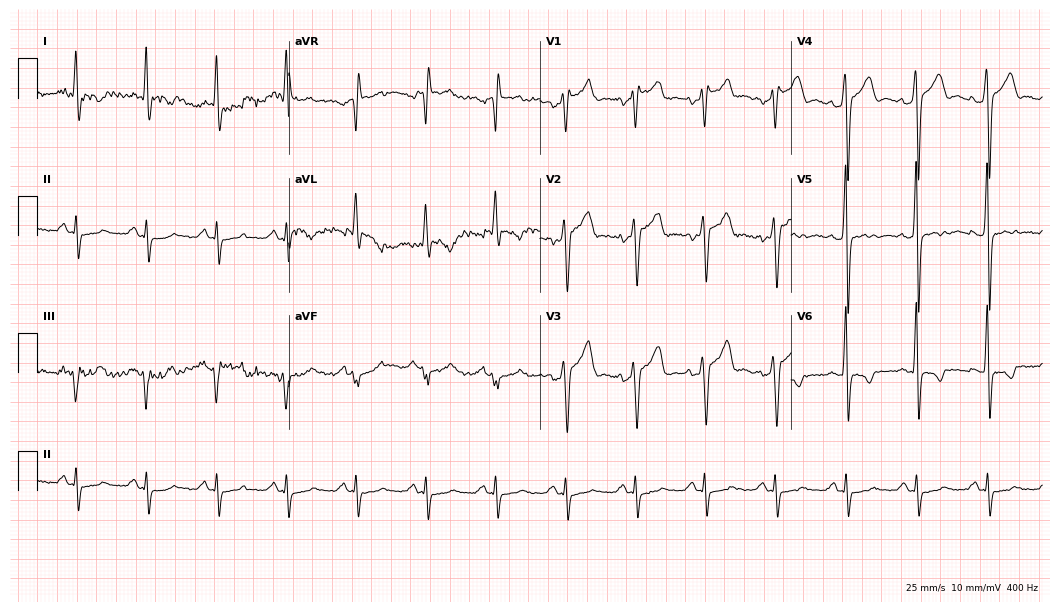
ECG — a man, 55 years old. Screened for six findings — first-degree AV block, right bundle branch block (RBBB), left bundle branch block (LBBB), sinus bradycardia, atrial fibrillation (AF), sinus tachycardia — none is recorded. Only these six findings were labelled.